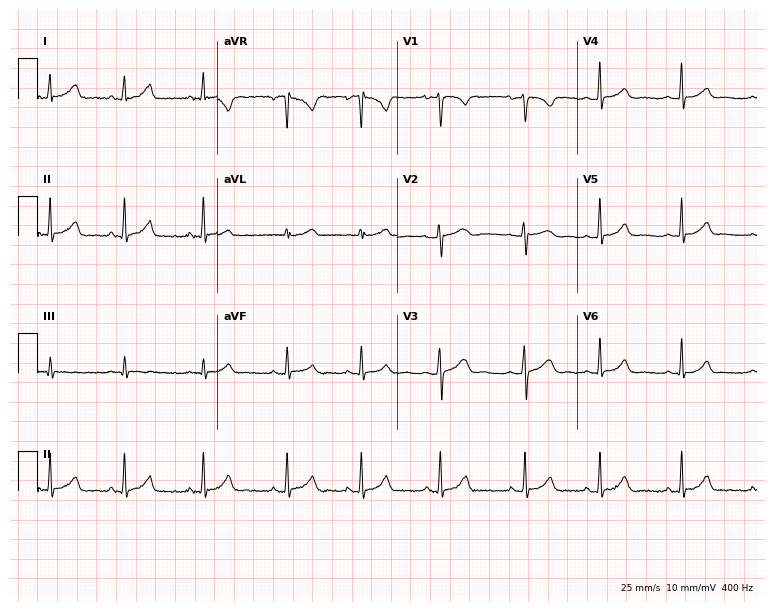
ECG (7.3-second recording at 400 Hz) — a woman, 18 years old. Labelled as a normal ECG.